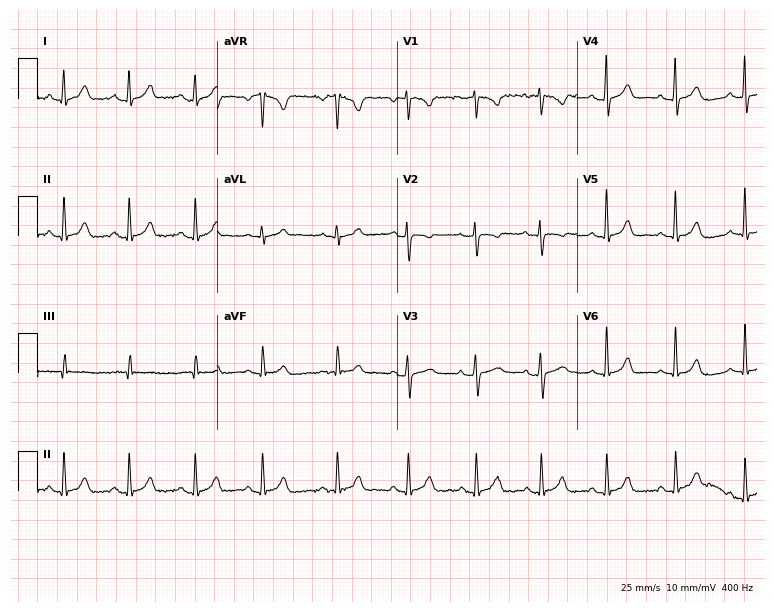
12-lead ECG from a 17-year-old female patient (7.3-second recording at 400 Hz). No first-degree AV block, right bundle branch block, left bundle branch block, sinus bradycardia, atrial fibrillation or sinus tachycardia recorded for this tracing. Findings outside these six are not listed.